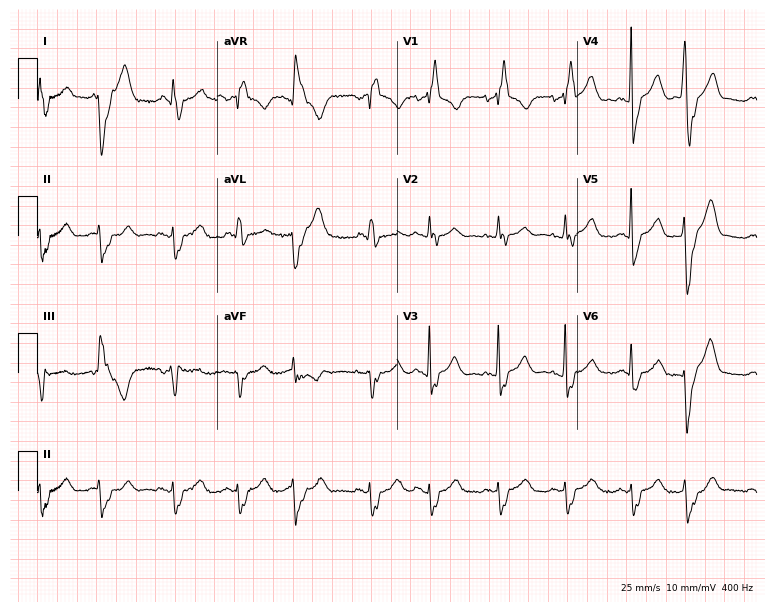
12-lead ECG from a female patient, 72 years old (7.3-second recording at 400 Hz). Shows right bundle branch block.